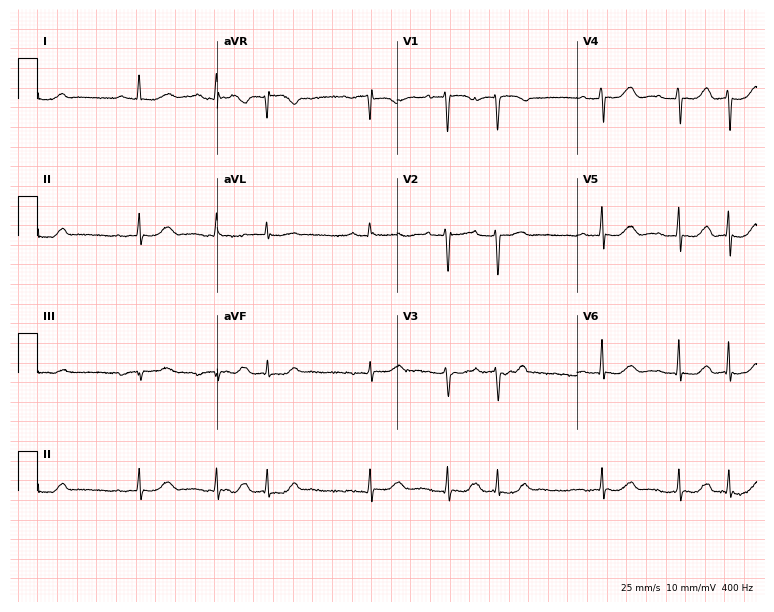
ECG — a 76-year-old female. Screened for six findings — first-degree AV block, right bundle branch block (RBBB), left bundle branch block (LBBB), sinus bradycardia, atrial fibrillation (AF), sinus tachycardia — none is recorded. Other findings, if any, are not listed.